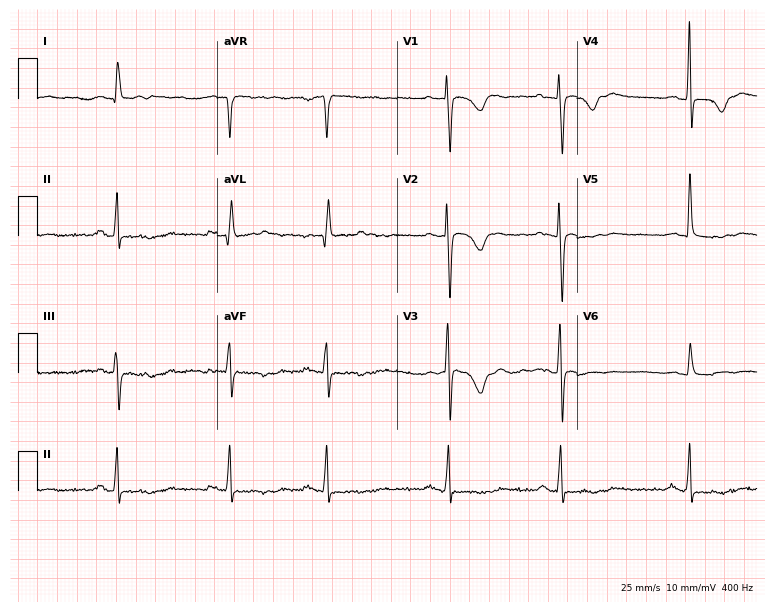
Standard 12-lead ECG recorded from a 74-year-old female (7.3-second recording at 400 Hz). None of these six findings is recorded: first-degree AV block, right bundle branch block (RBBB), left bundle branch block (LBBB), sinus bradycardia, atrial fibrillation (AF), sinus tachycardia.